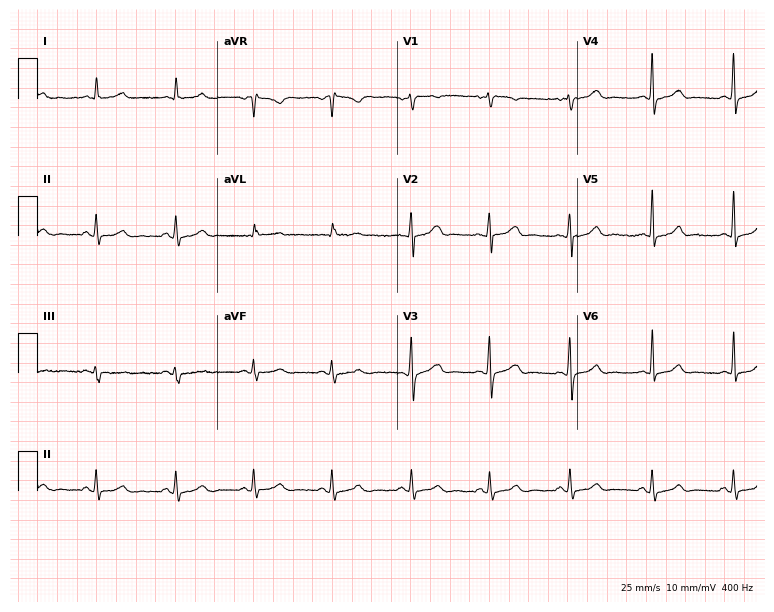
Resting 12-lead electrocardiogram. Patient: a 42-year-old female. Read as a normal ECG.